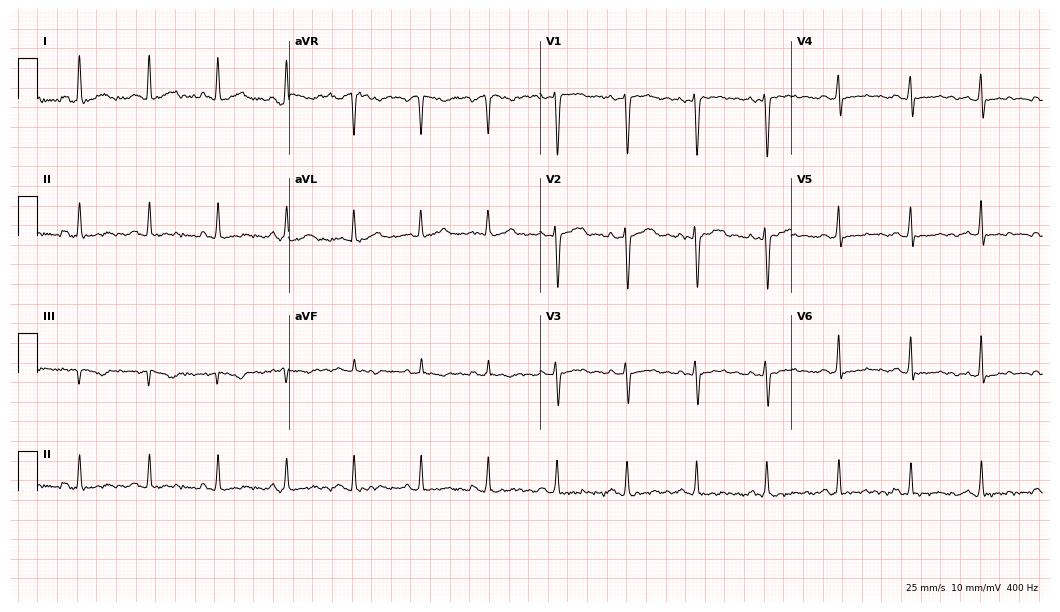
Resting 12-lead electrocardiogram (10.2-second recording at 400 Hz). Patient: a 33-year-old female. None of these six findings is recorded: first-degree AV block, right bundle branch block (RBBB), left bundle branch block (LBBB), sinus bradycardia, atrial fibrillation (AF), sinus tachycardia. Other findings, if any, are not listed.